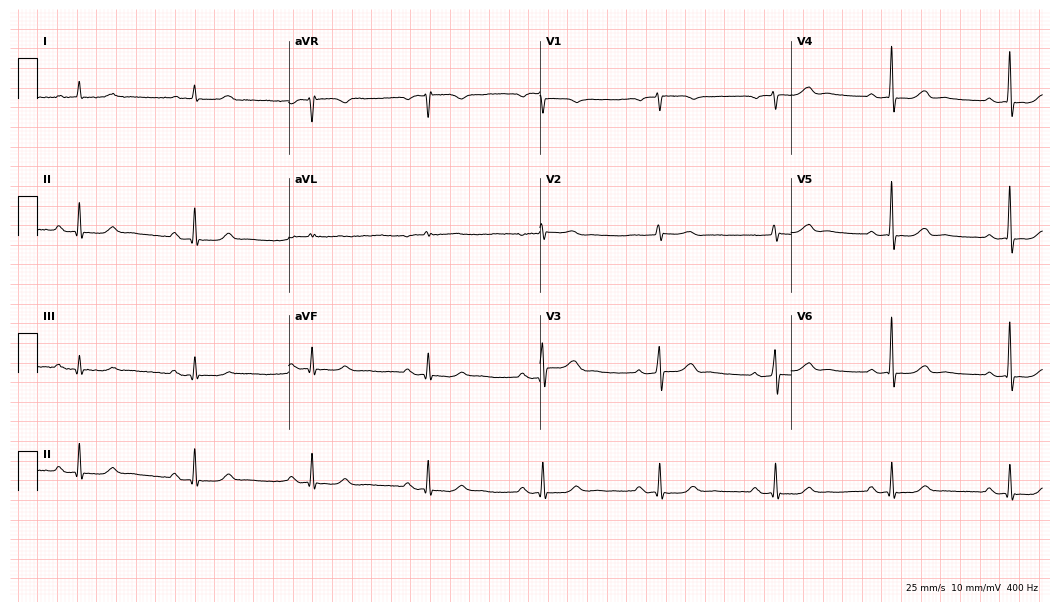
Resting 12-lead electrocardiogram. Patient: a male, 70 years old. Read as a normal ECG.